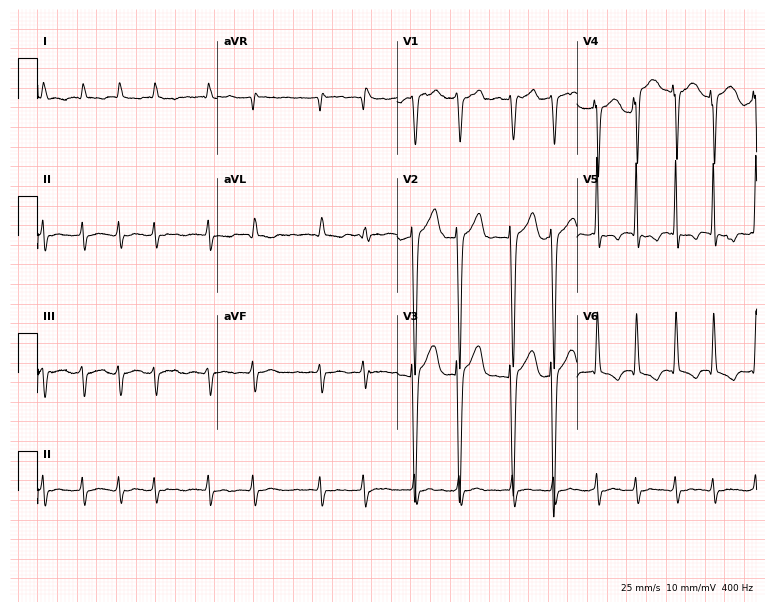
ECG — a male, 66 years old. Findings include atrial fibrillation.